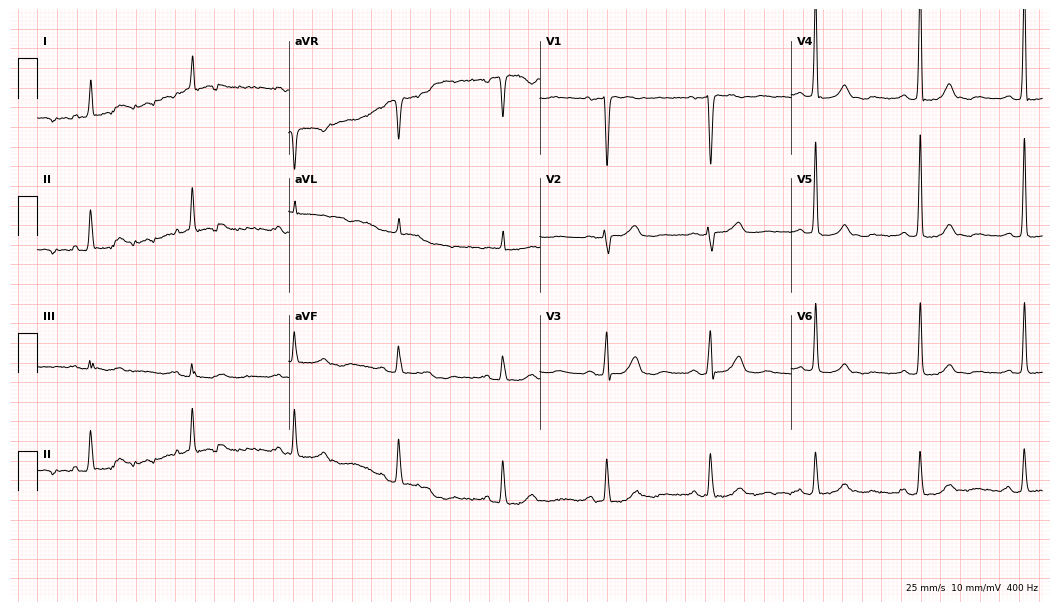
Standard 12-lead ECG recorded from a woman, 75 years old. None of these six findings is recorded: first-degree AV block, right bundle branch block (RBBB), left bundle branch block (LBBB), sinus bradycardia, atrial fibrillation (AF), sinus tachycardia.